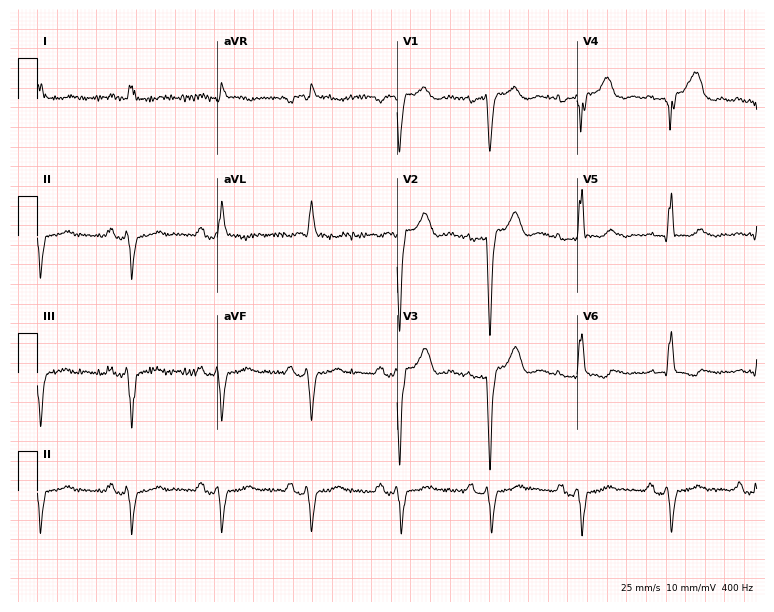
Resting 12-lead electrocardiogram (7.3-second recording at 400 Hz). Patient: a male, 48 years old. None of these six findings is recorded: first-degree AV block, right bundle branch block, left bundle branch block, sinus bradycardia, atrial fibrillation, sinus tachycardia. Findings outside these six are not listed.